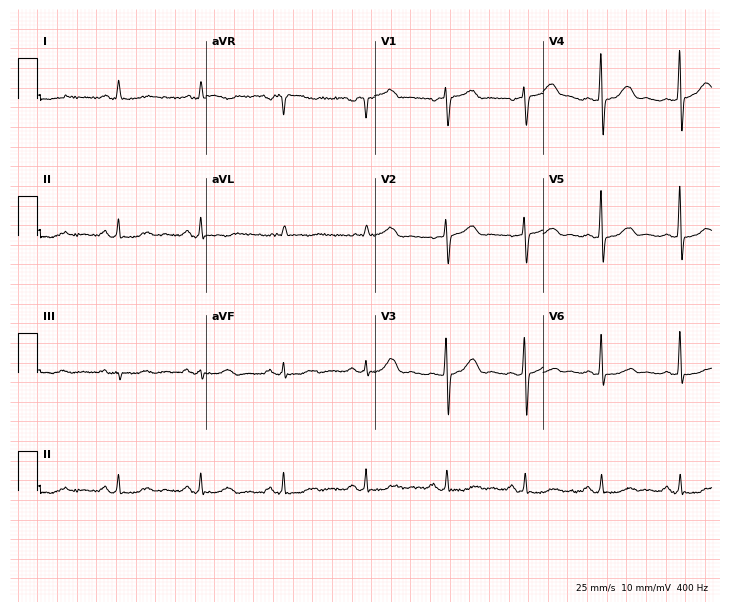
12-lead ECG from a woman, 61 years old. No first-degree AV block, right bundle branch block (RBBB), left bundle branch block (LBBB), sinus bradycardia, atrial fibrillation (AF) or sinus tachycardia recorded for this tracing. Only these six findings were labelled.